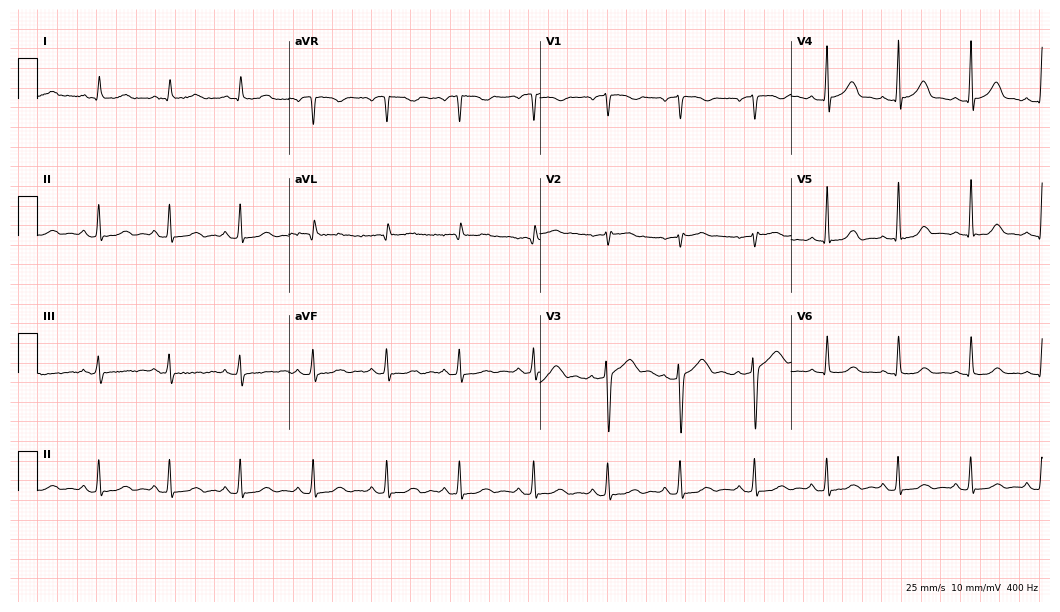
Resting 12-lead electrocardiogram. Patient: a 49-year-old female. Read as a normal ECG.